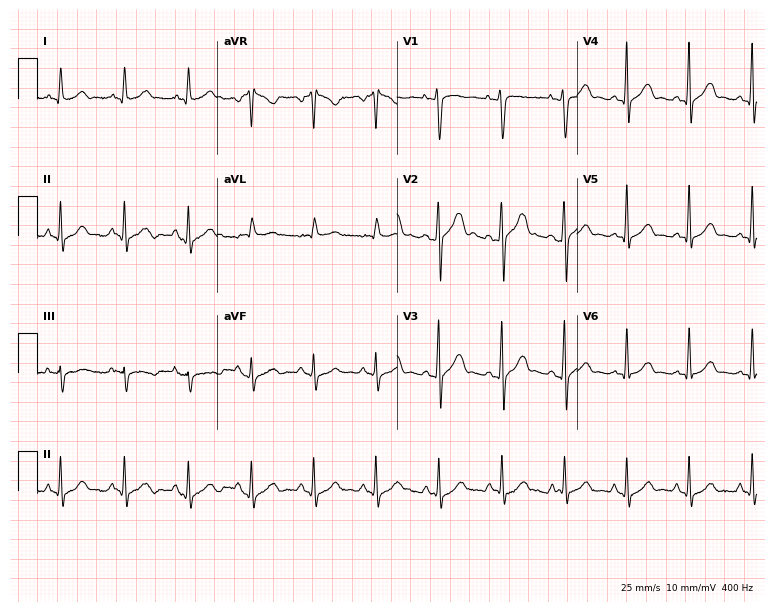
12-lead ECG from a 40-year-old man. Labelled as a normal ECG.